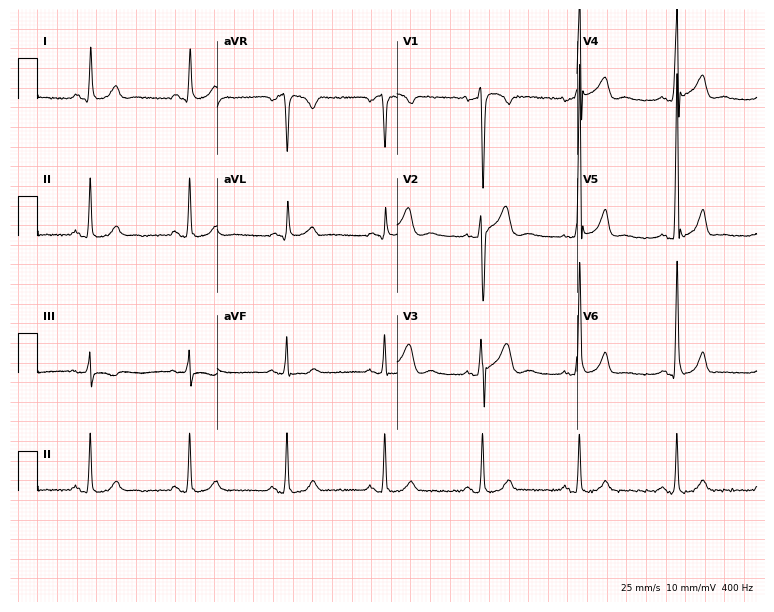
Resting 12-lead electrocardiogram. Patient: a 49-year-old male. Read as a normal ECG.